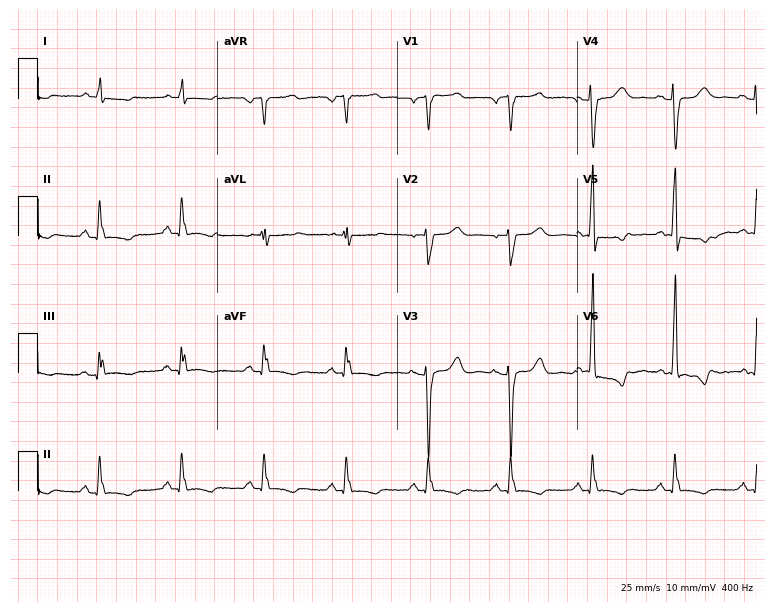
Standard 12-lead ECG recorded from a woman, 78 years old. Read as a normal ECG.